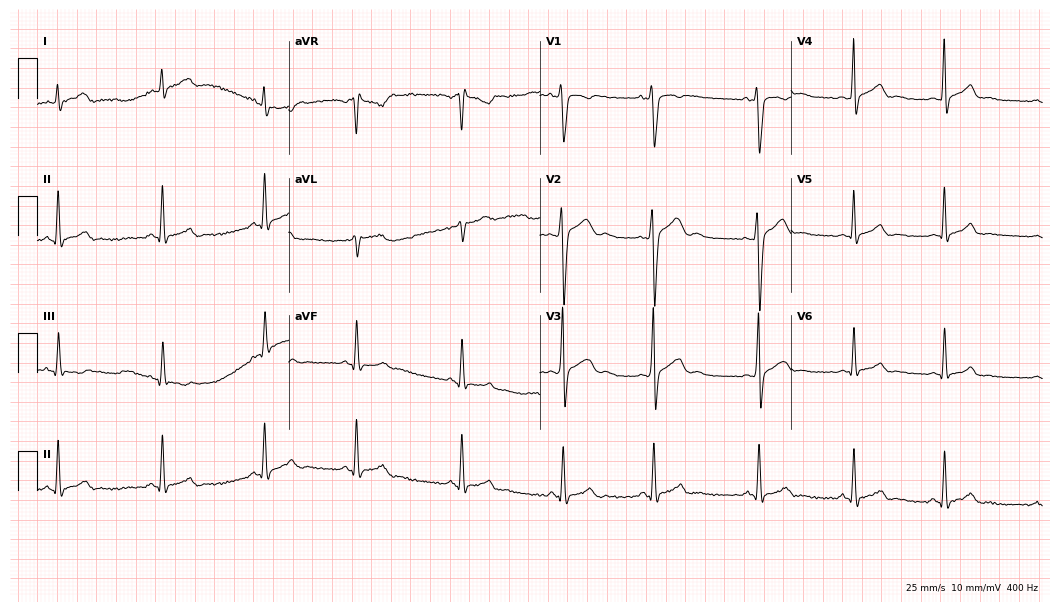
12-lead ECG (10.2-second recording at 400 Hz) from a 21-year-old male. Labelled as a normal ECG.